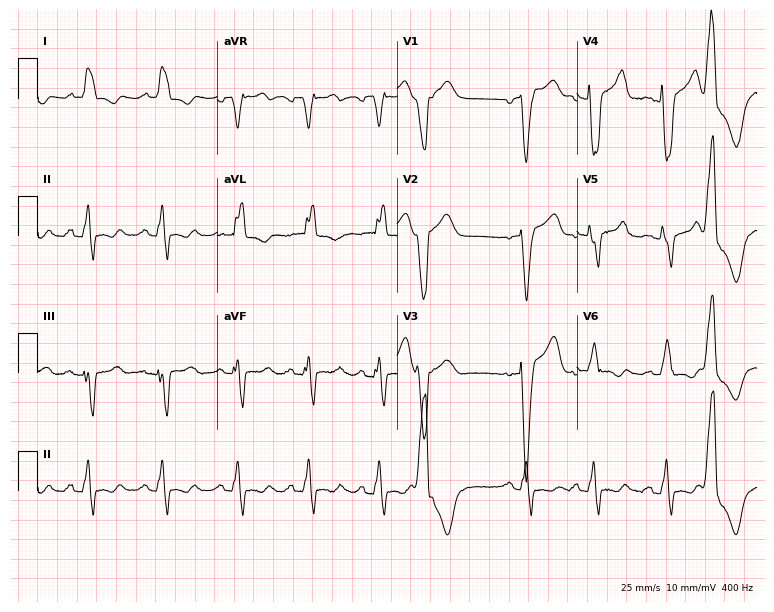
12-lead ECG from a female patient, 73 years old. Findings include left bundle branch block.